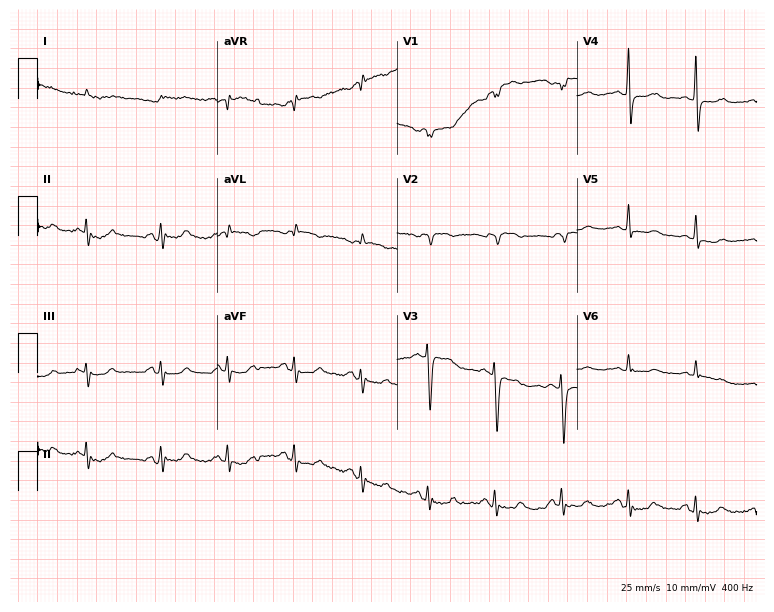
Electrocardiogram, a male patient, 80 years old. Of the six screened findings (first-degree AV block, right bundle branch block, left bundle branch block, sinus bradycardia, atrial fibrillation, sinus tachycardia), none is recorded. Only these six findings were labelled.